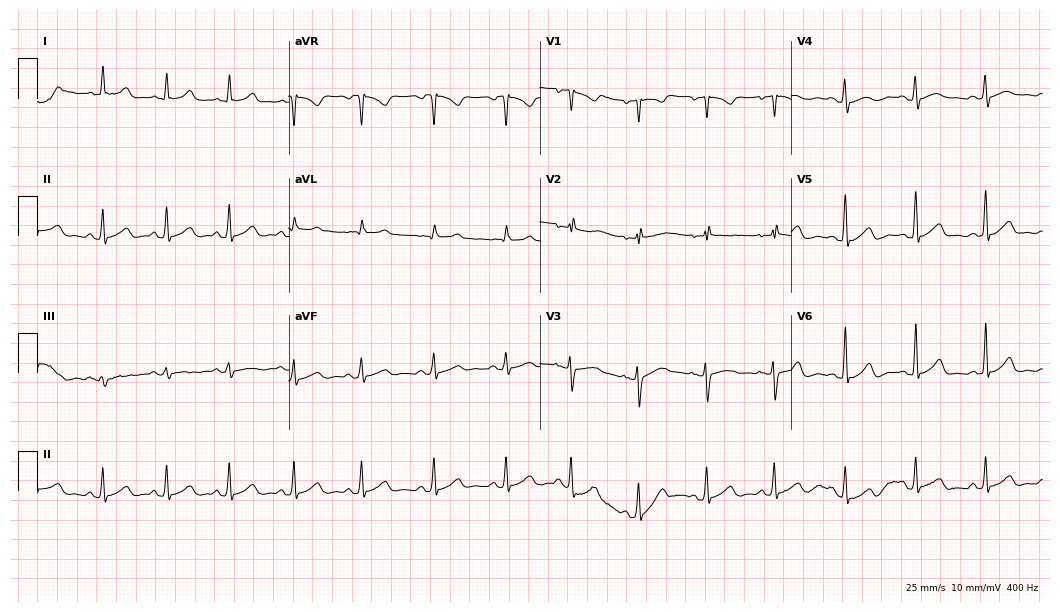
Resting 12-lead electrocardiogram. Patient: a woman, 22 years old. Read as a normal ECG.